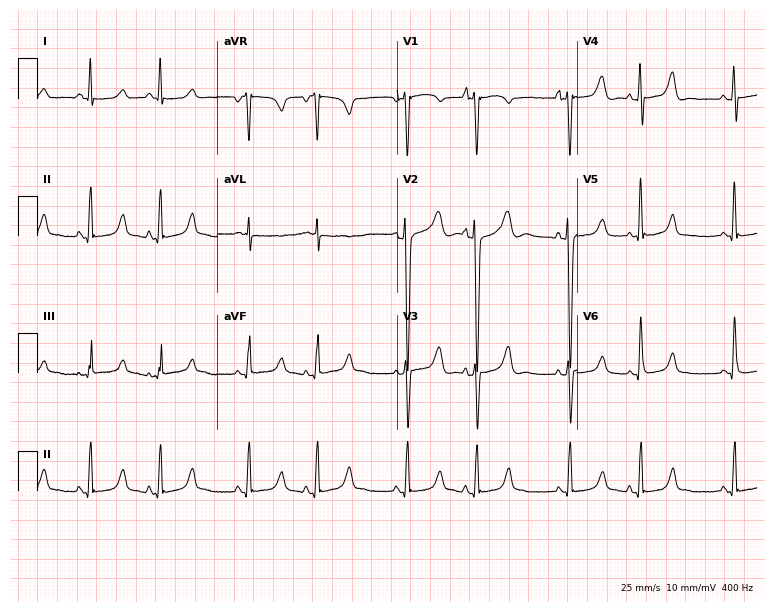
Standard 12-lead ECG recorded from a 32-year-old woman (7.3-second recording at 400 Hz). None of these six findings is recorded: first-degree AV block, right bundle branch block (RBBB), left bundle branch block (LBBB), sinus bradycardia, atrial fibrillation (AF), sinus tachycardia. Findings outside these six are not listed.